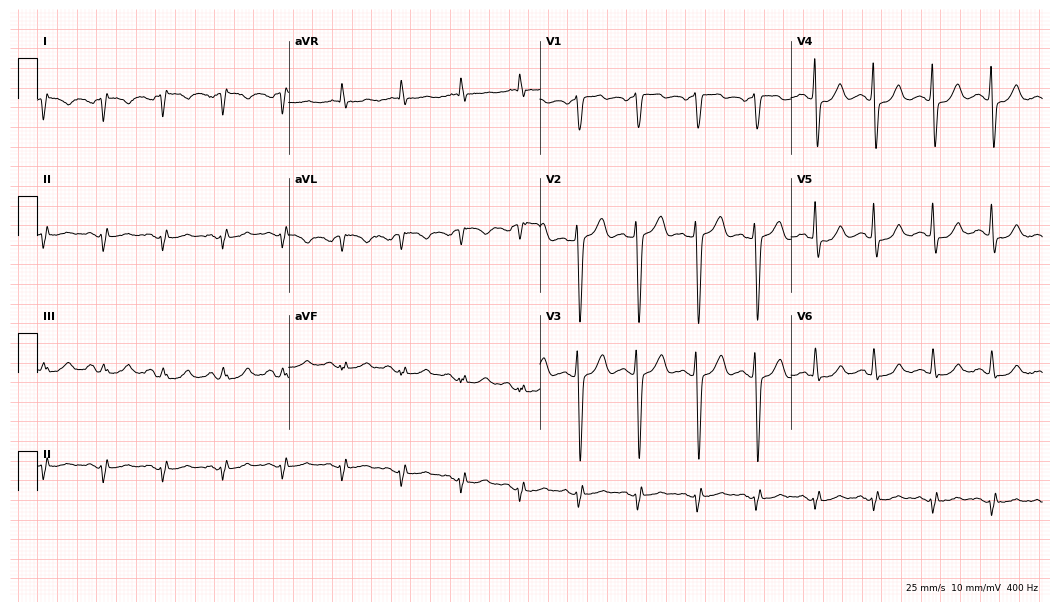
Standard 12-lead ECG recorded from a man, 53 years old. None of these six findings is recorded: first-degree AV block, right bundle branch block (RBBB), left bundle branch block (LBBB), sinus bradycardia, atrial fibrillation (AF), sinus tachycardia. Other findings, if any, are not listed.